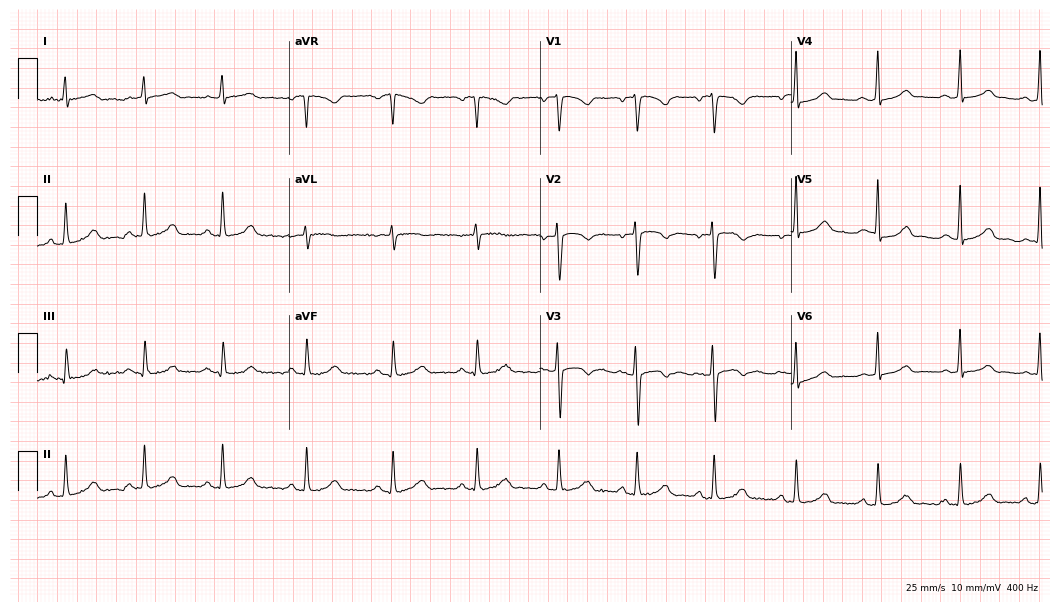
Resting 12-lead electrocardiogram (10.2-second recording at 400 Hz). Patient: a female, 34 years old. Read as a normal ECG.